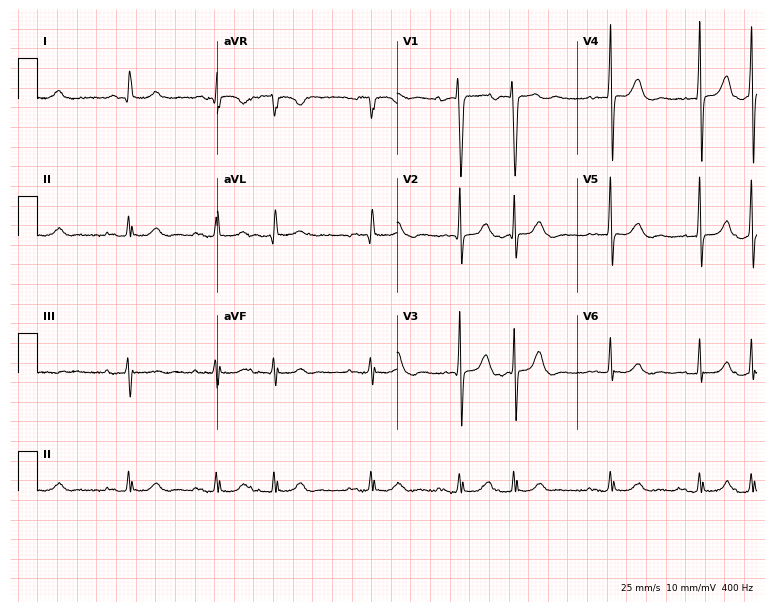
Standard 12-lead ECG recorded from a male, 87 years old (7.3-second recording at 400 Hz). Read as a normal ECG.